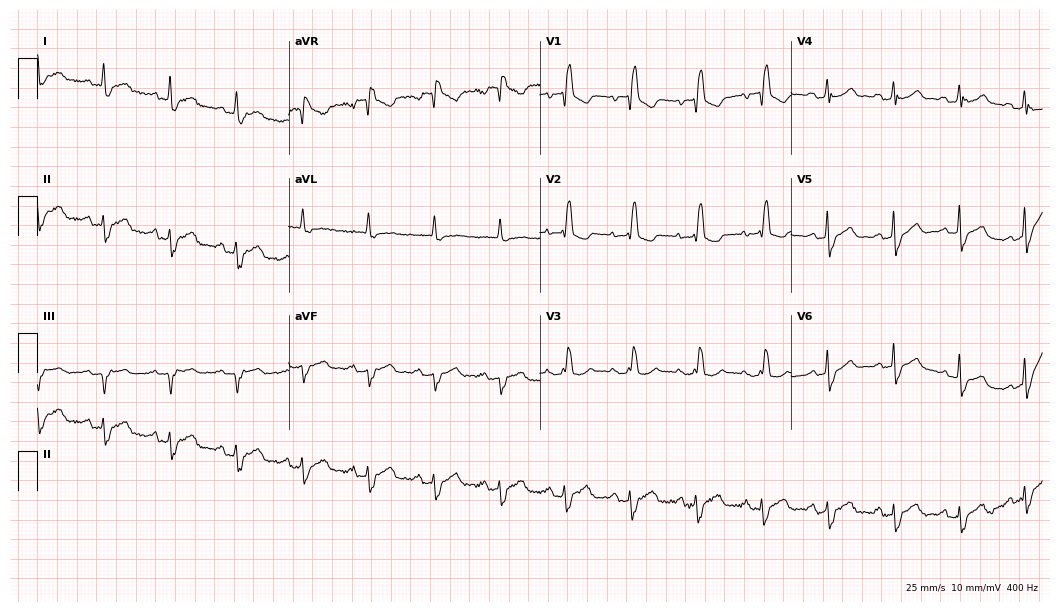
Electrocardiogram (10.2-second recording at 400 Hz), a 73-year-old woman. Of the six screened findings (first-degree AV block, right bundle branch block, left bundle branch block, sinus bradycardia, atrial fibrillation, sinus tachycardia), none is recorded.